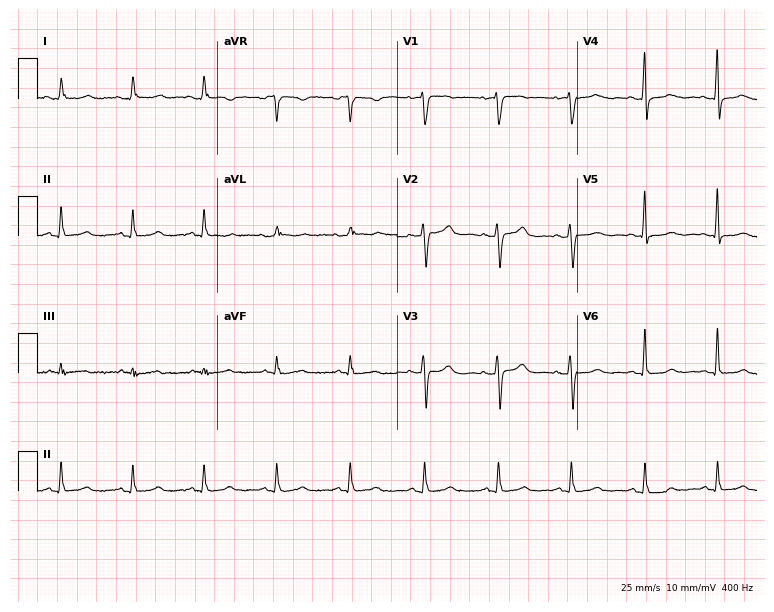
Resting 12-lead electrocardiogram (7.3-second recording at 400 Hz). Patient: a female, 49 years old. Read as a normal ECG.